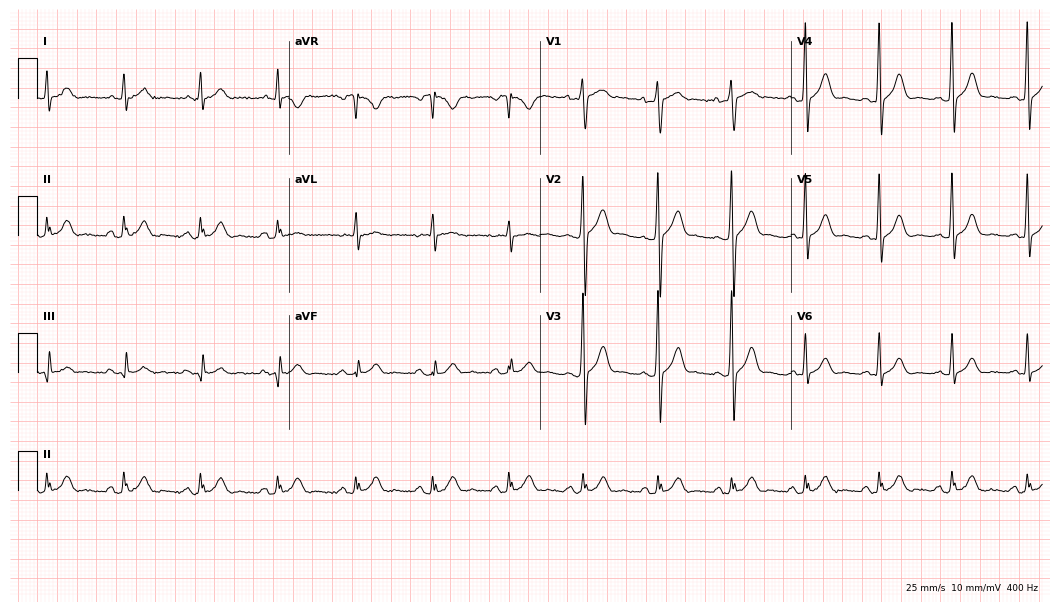
12-lead ECG from a 30-year-old man. No first-degree AV block, right bundle branch block (RBBB), left bundle branch block (LBBB), sinus bradycardia, atrial fibrillation (AF) or sinus tachycardia recorded for this tracing.